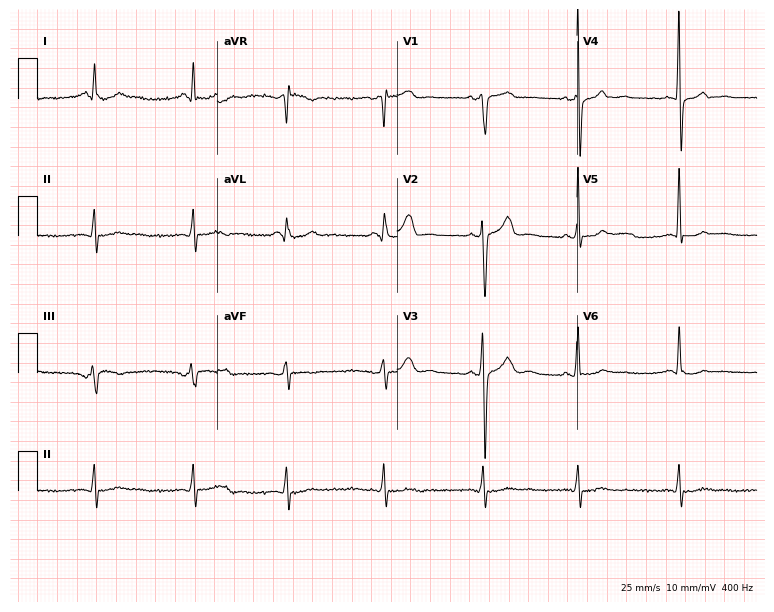
12-lead ECG (7.3-second recording at 400 Hz) from a 51-year-old man. Screened for six findings — first-degree AV block, right bundle branch block, left bundle branch block, sinus bradycardia, atrial fibrillation, sinus tachycardia — none is recorded. Only these six findings were labelled.